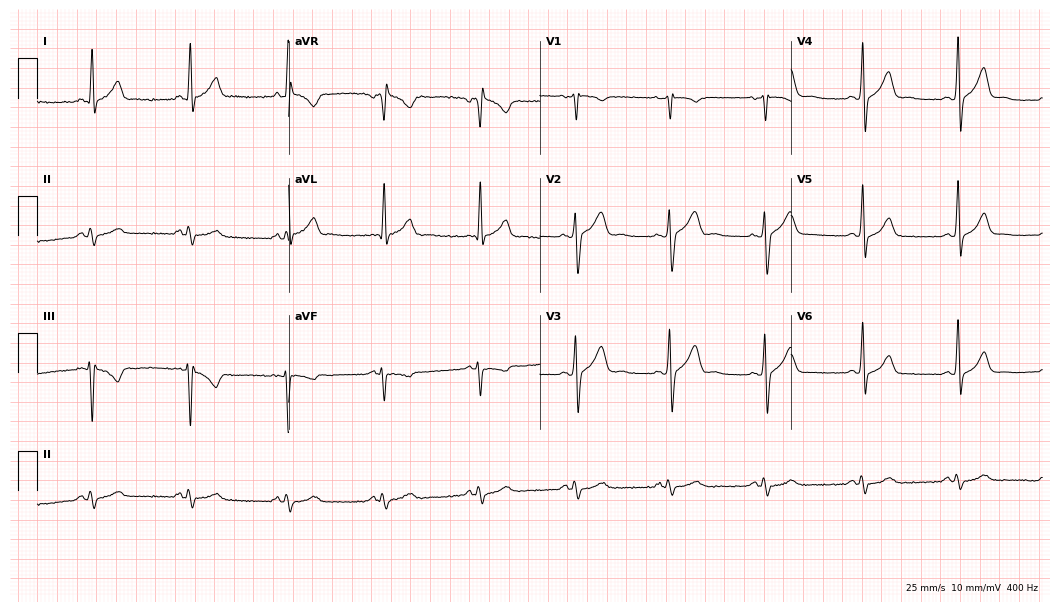
ECG (10.2-second recording at 400 Hz) — a 58-year-old male. Screened for six findings — first-degree AV block, right bundle branch block, left bundle branch block, sinus bradycardia, atrial fibrillation, sinus tachycardia — none is recorded.